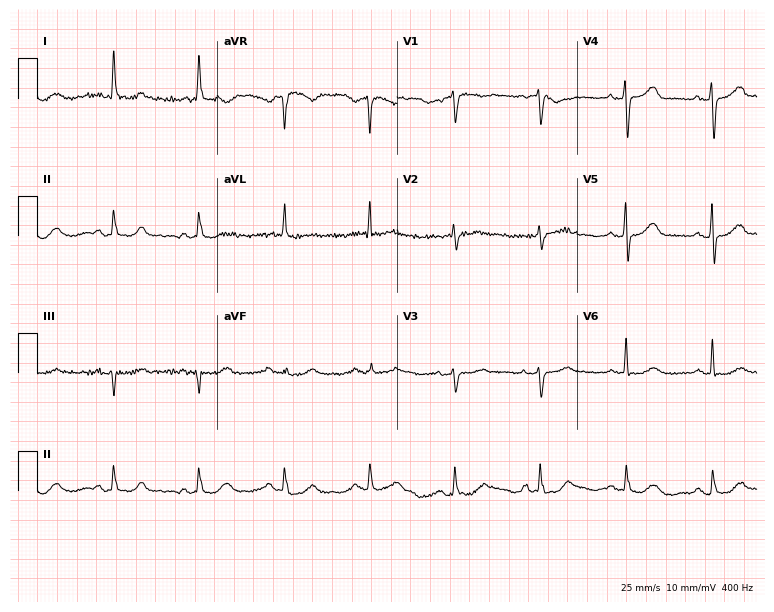
Standard 12-lead ECG recorded from a female, 61 years old (7.3-second recording at 400 Hz). Read as a normal ECG.